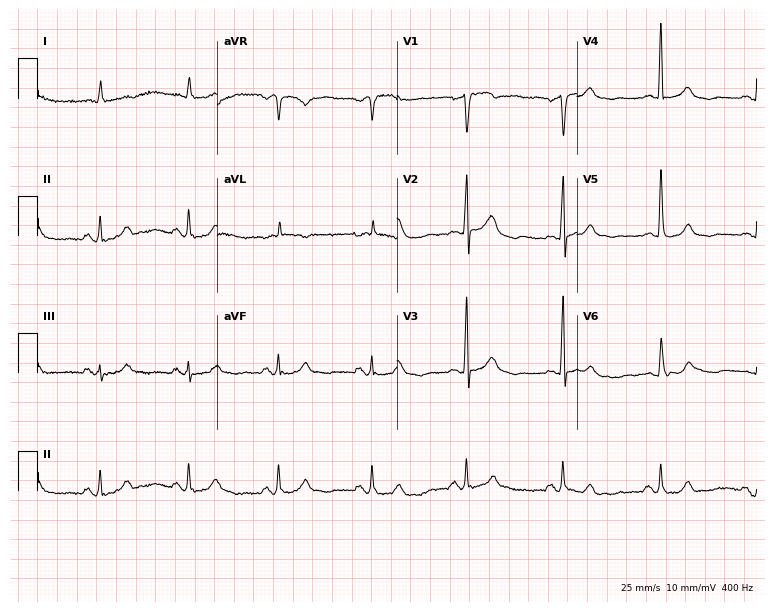
Electrocardiogram (7.3-second recording at 400 Hz), a 72-year-old male patient. Overall reading on record: normal ECG.